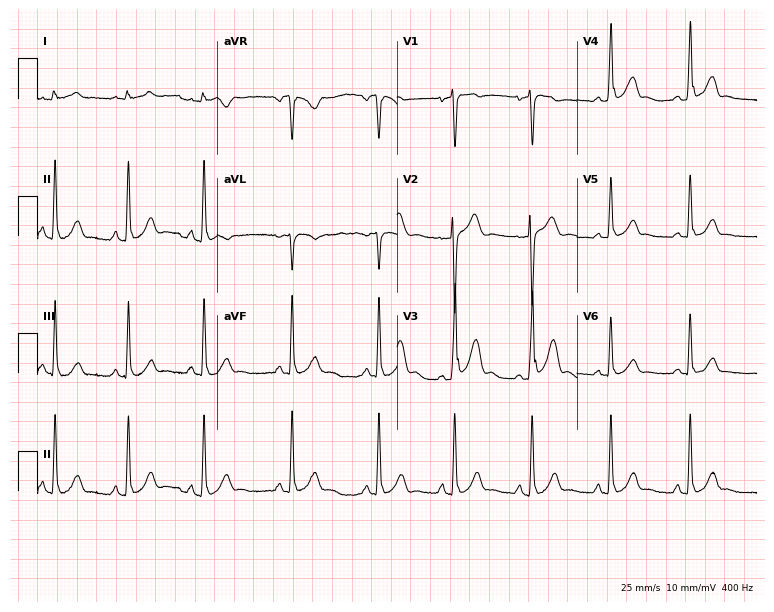
12-lead ECG from a man, 36 years old (7.3-second recording at 400 Hz). Recorded interpretation: within normal limits.